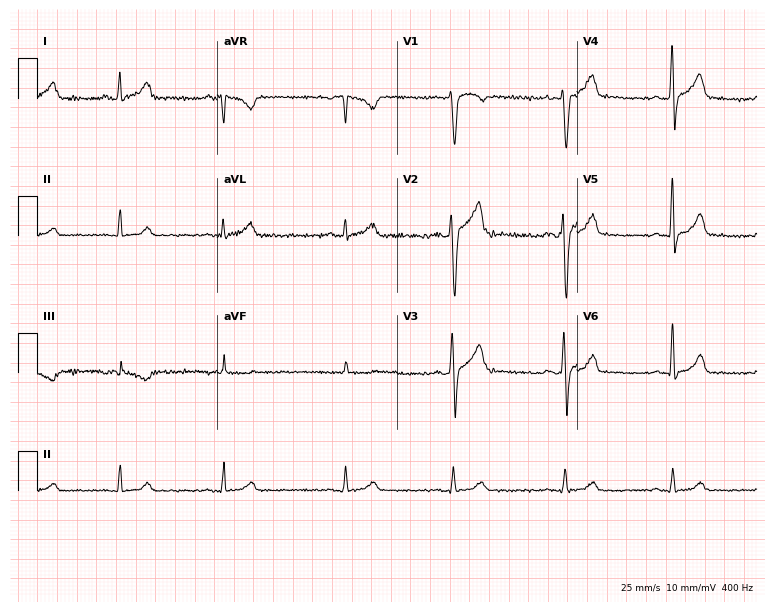
ECG (7.3-second recording at 400 Hz) — a 28-year-old male patient. Screened for six findings — first-degree AV block, right bundle branch block (RBBB), left bundle branch block (LBBB), sinus bradycardia, atrial fibrillation (AF), sinus tachycardia — none is recorded. Only these six findings were labelled.